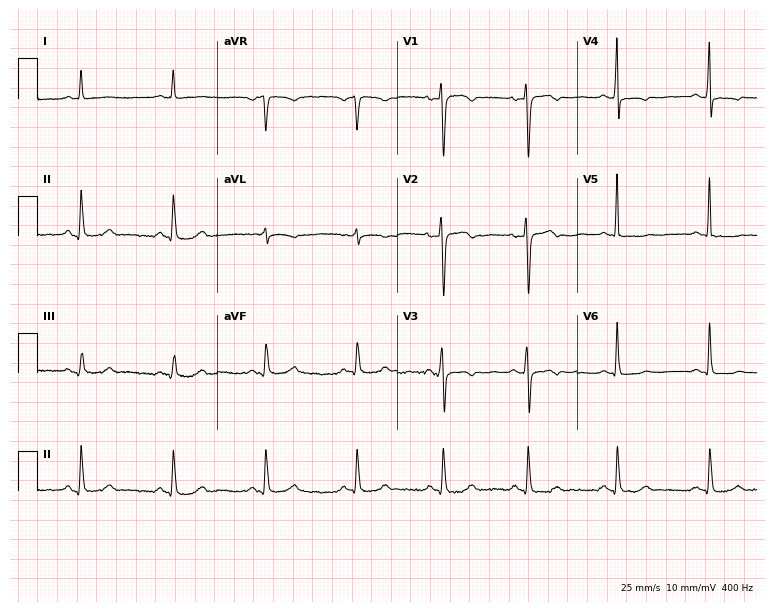
Electrocardiogram (7.3-second recording at 400 Hz), a female, 34 years old. Of the six screened findings (first-degree AV block, right bundle branch block, left bundle branch block, sinus bradycardia, atrial fibrillation, sinus tachycardia), none is recorded. Findings outside these six are not listed.